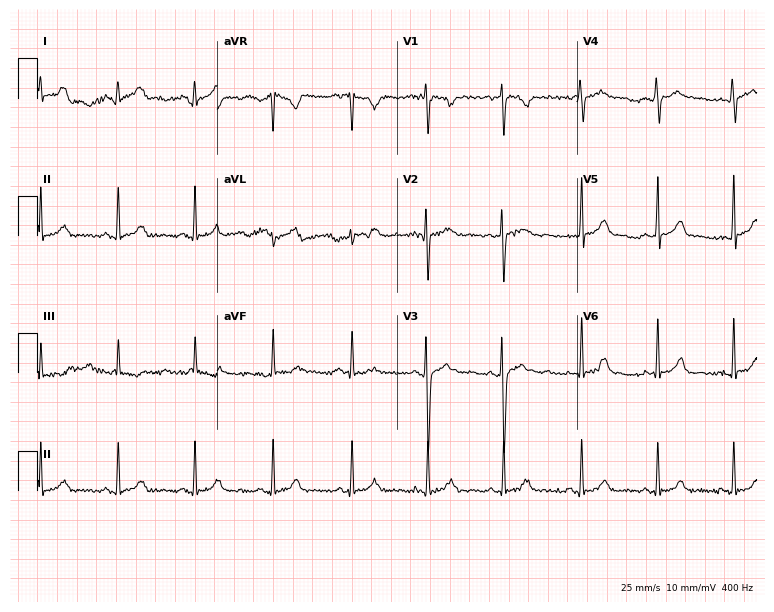
Resting 12-lead electrocardiogram. Patient: a female, 28 years old. Read as a normal ECG.